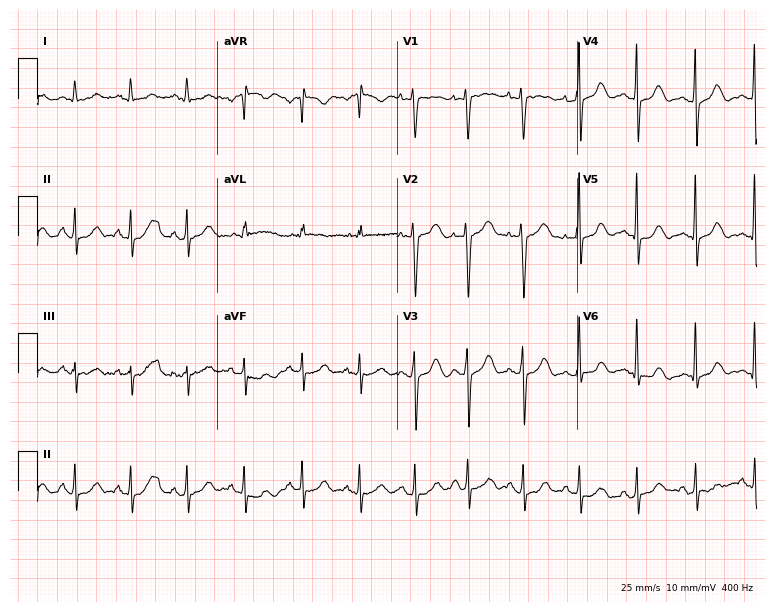
12-lead ECG from a 49-year-old female (7.3-second recording at 400 Hz). No first-degree AV block, right bundle branch block, left bundle branch block, sinus bradycardia, atrial fibrillation or sinus tachycardia recorded for this tracing. Only these six findings were labelled.